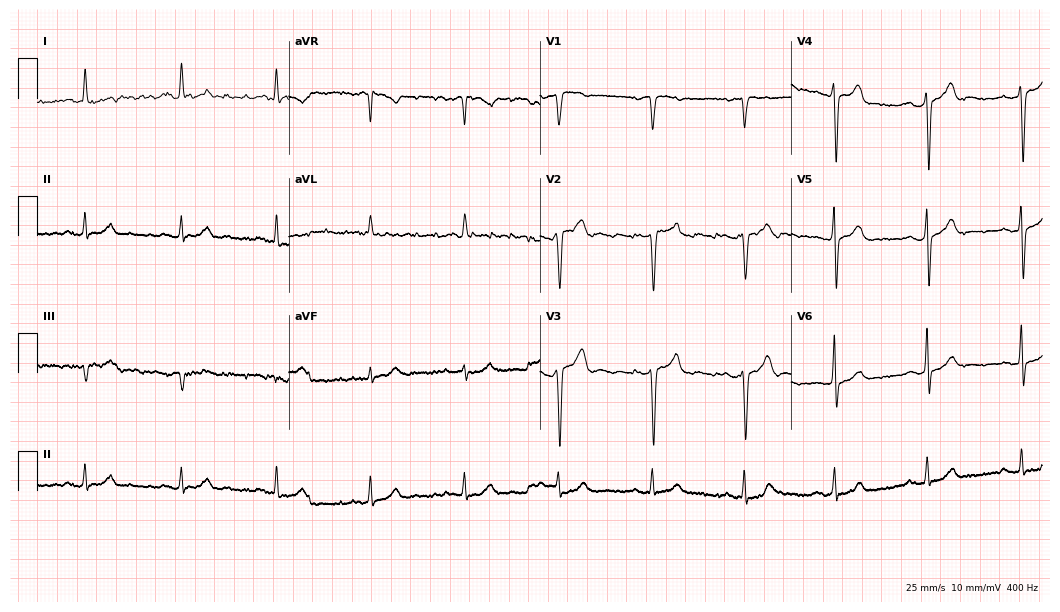
Standard 12-lead ECG recorded from a 56-year-old male patient (10.2-second recording at 400 Hz). None of these six findings is recorded: first-degree AV block, right bundle branch block (RBBB), left bundle branch block (LBBB), sinus bradycardia, atrial fibrillation (AF), sinus tachycardia. Findings outside these six are not listed.